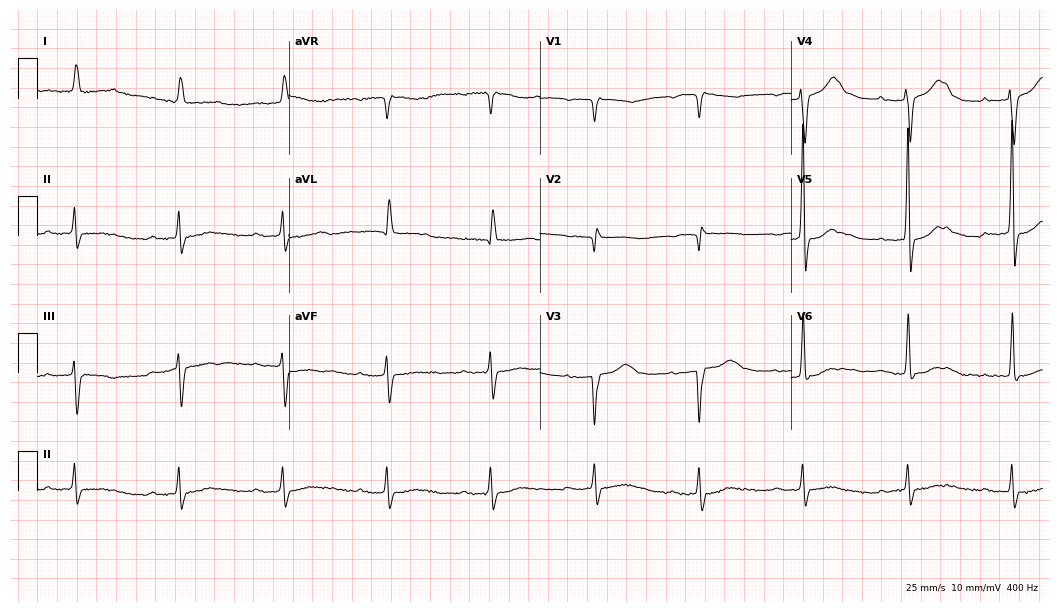
12-lead ECG (10.2-second recording at 400 Hz) from a man, 84 years old. Findings include first-degree AV block.